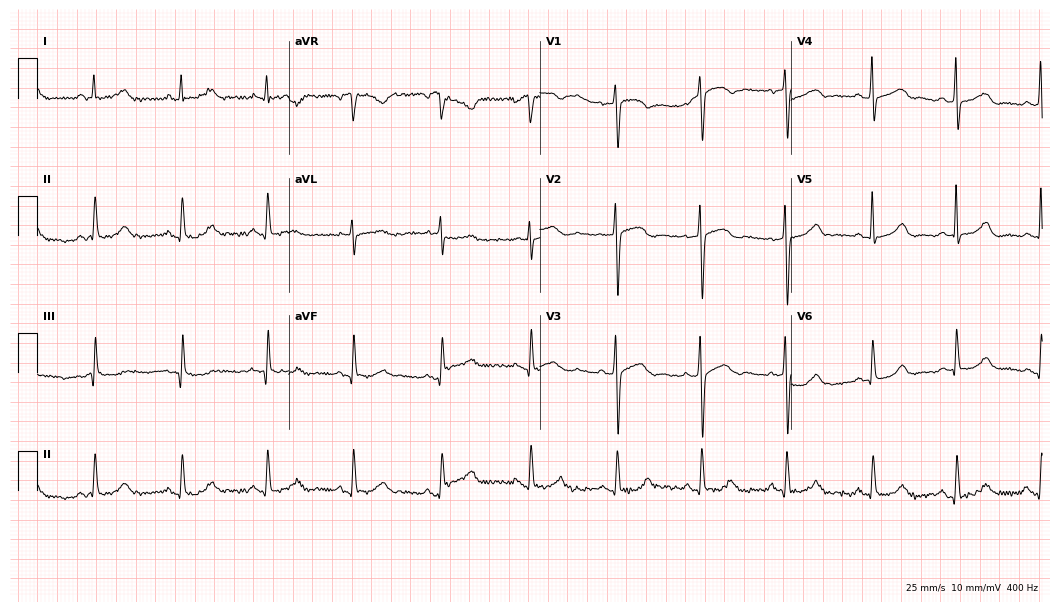
ECG (10.2-second recording at 400 Hz) — a 49-year-old female patient. Screened for six findings — first-degree AV block, right bundle branch block, left bundle branch block, sinus bradycardia, atrial fibrillation, sinus tachycardia — none is recorded. Other findings, if any, are not listed.